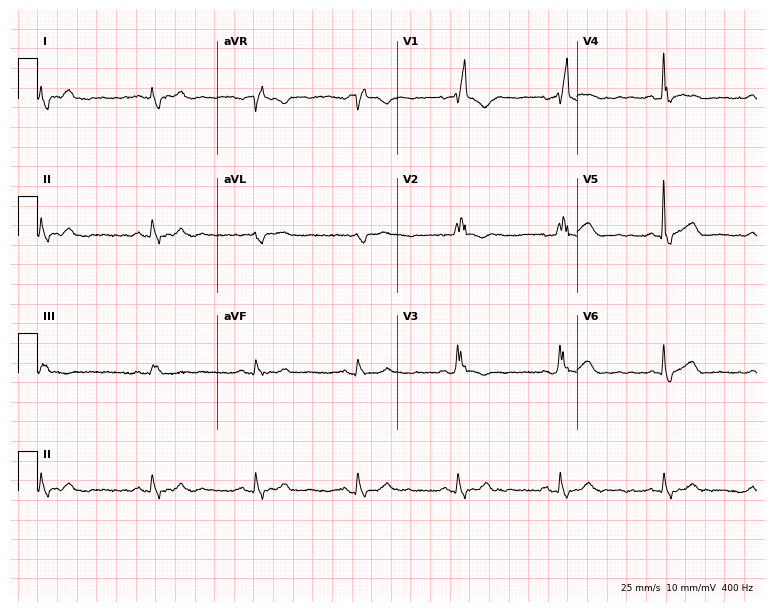
Standard 12-lead ECG recorded from a female, 68 years old (7.3-second recording at 400 Hz). The tracing shows right bundle branch block.